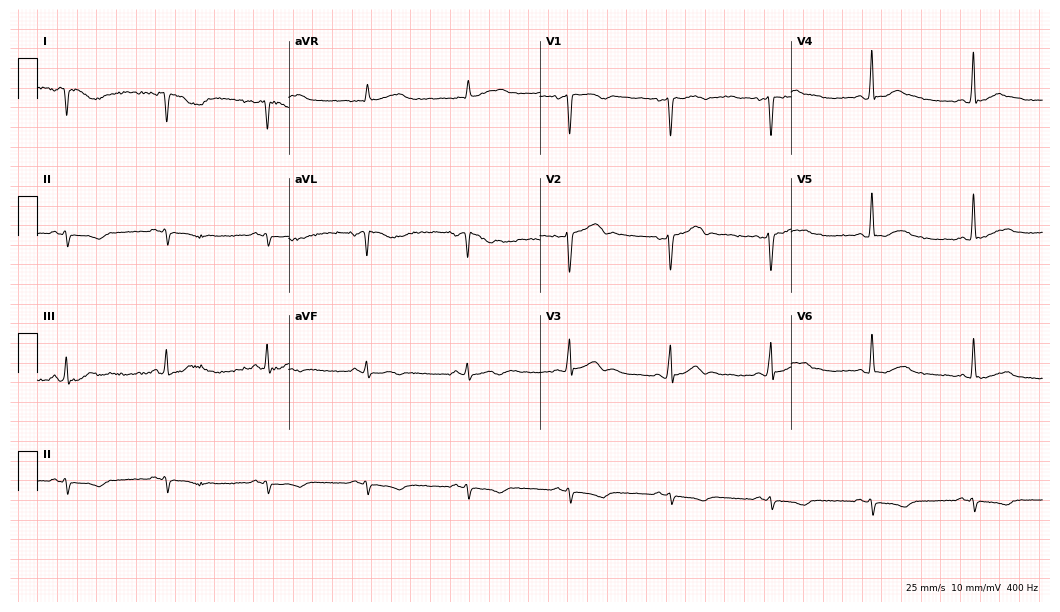
Electrocardiogram, a man, 43 years old. Of the six screened findings (first-degree AV block, right bundle branch block, left bundle branch block, sinus bradycardia, atrial fibrillation, sinus tachycardia), none is recorded. Only these six findings were labelled.